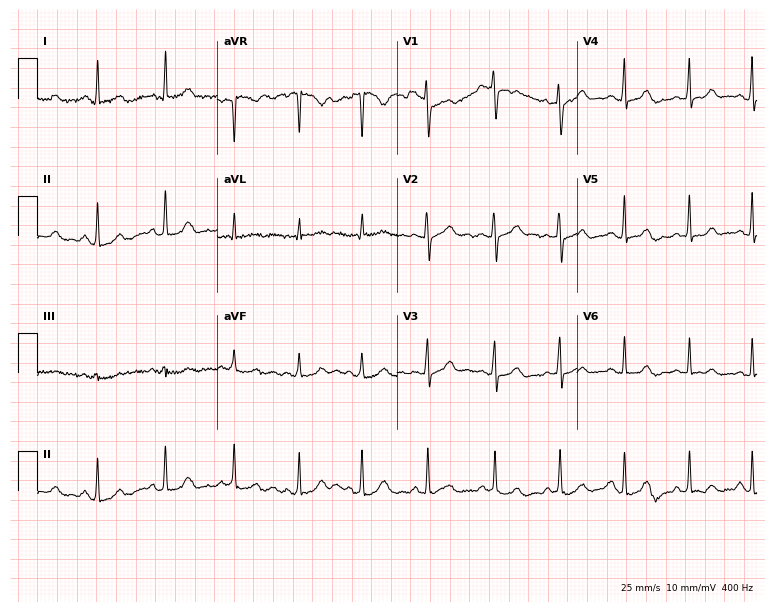
ECG — a 21-year-old female. Labelled as a normal ECG.